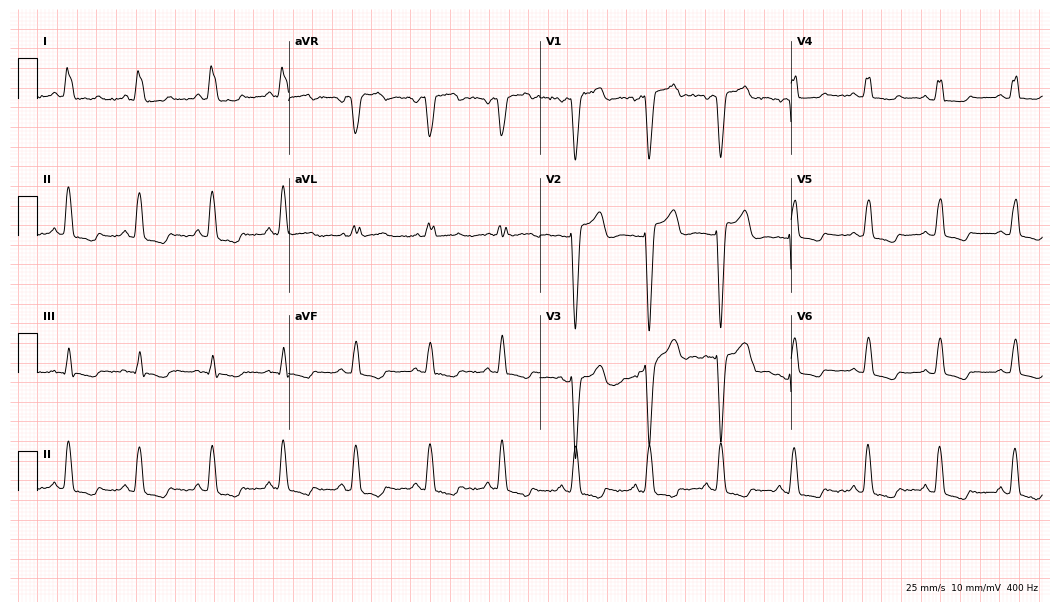
Electrocardiogram (10.2-second recording at 400 Hz), a 58-year-old woman. Of the six screened findings (first-degree AV block, right bundle branch block, left bundle branch block, sinus bradycardia, atrial fibrillation, sinus tachycardia), none is recorded. Only these six findings were labelled.